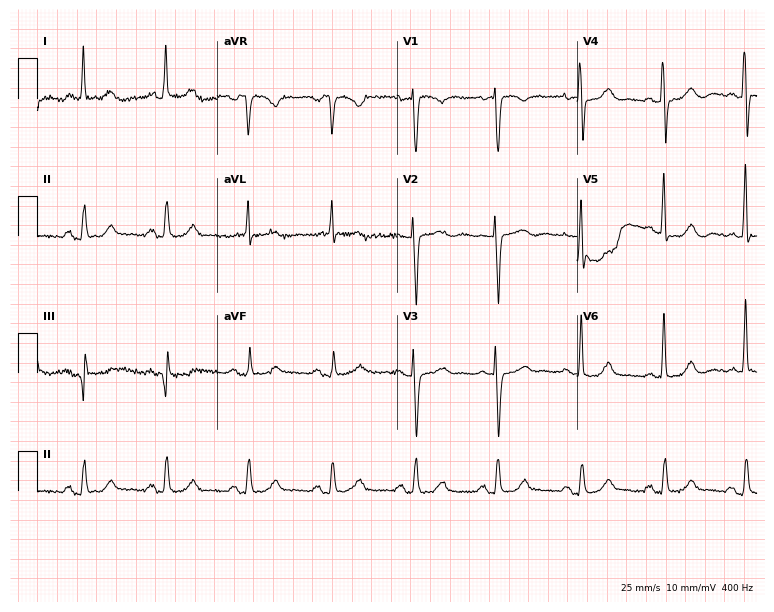
Electrocardiogram, a woman, 81 years old. Overall reading on record: normal ECG.